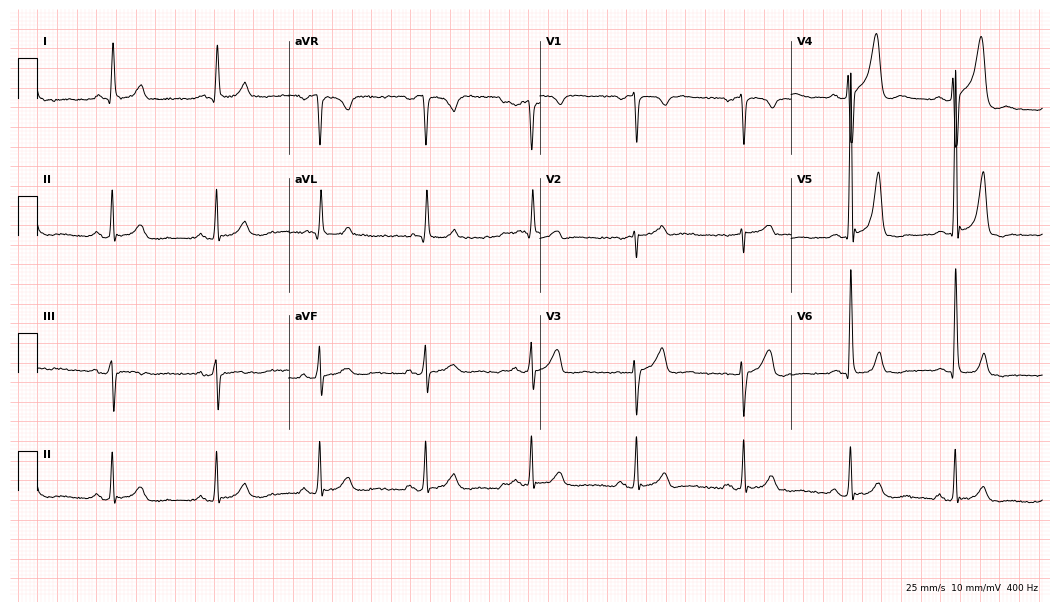
Electrocardiogram (10.2-second recording at 400 Hz), a man, 69 years old. Of the six screened findings (first-degree AV block, right bundle branch block, left bundle branch block, sinus bradycardia, atrial fibrillation, sinus tachycardia), none is recorded. Findings outside these six are not listed.